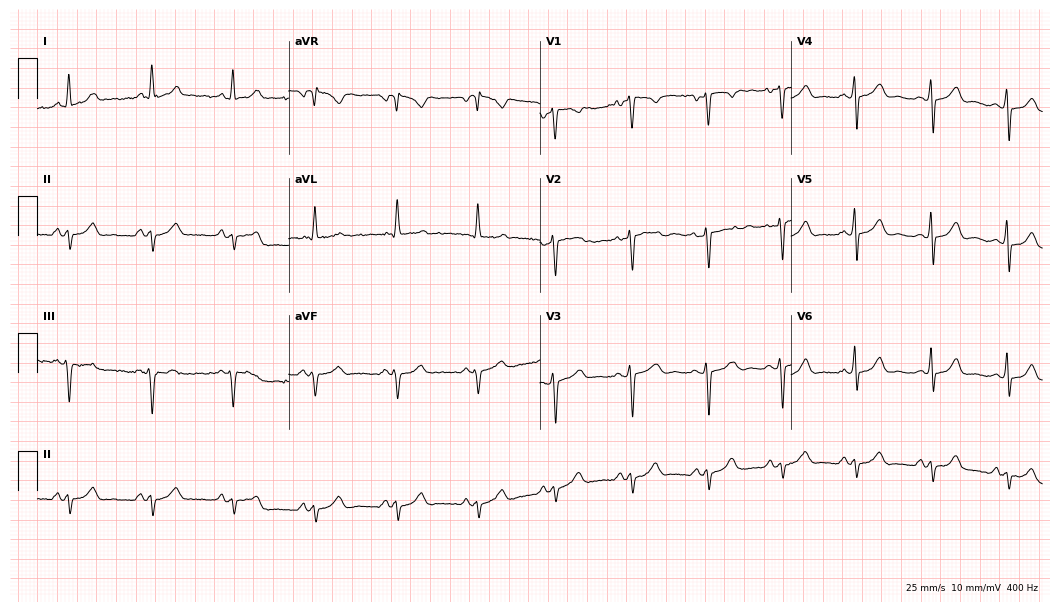
ECG (10.2-second recording at 400 Hz) — a woman, 41 years old. Screened for six findings — first-degree AV block, right bundle branch block (RBBB), left bundle branch block (LBBB), sinus bradycardia, atrial fibrillation (AF), sinus tachycardia — none is recorded. Only these six findings were labelled.